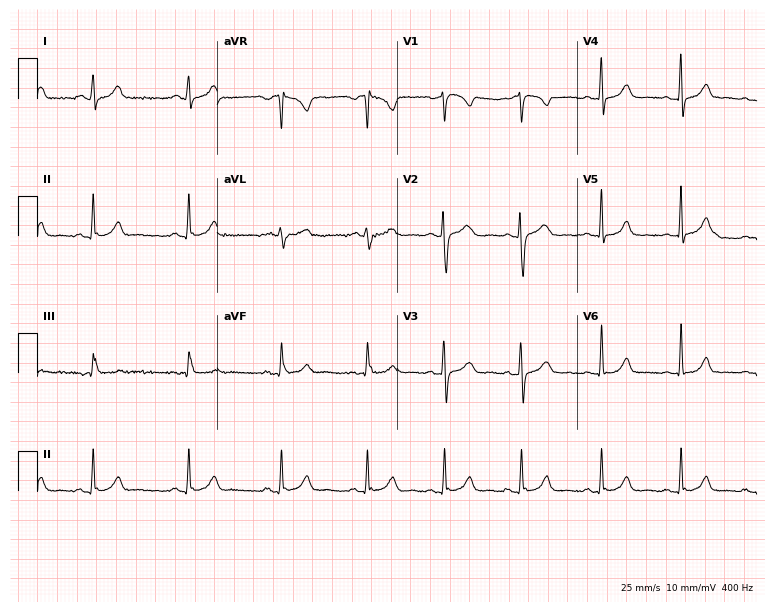
Resting 12-lead electrocardiogram (7.3-second recording at 400 Hz). Patient: a 25-year-old woman. None of these six findings is recorded: first-degree AV block, right bundle branch block, left bundle branch block, sinus bradycardia, atrial fibrillation, sinus tachycardia. Findings outside these six are not listed.